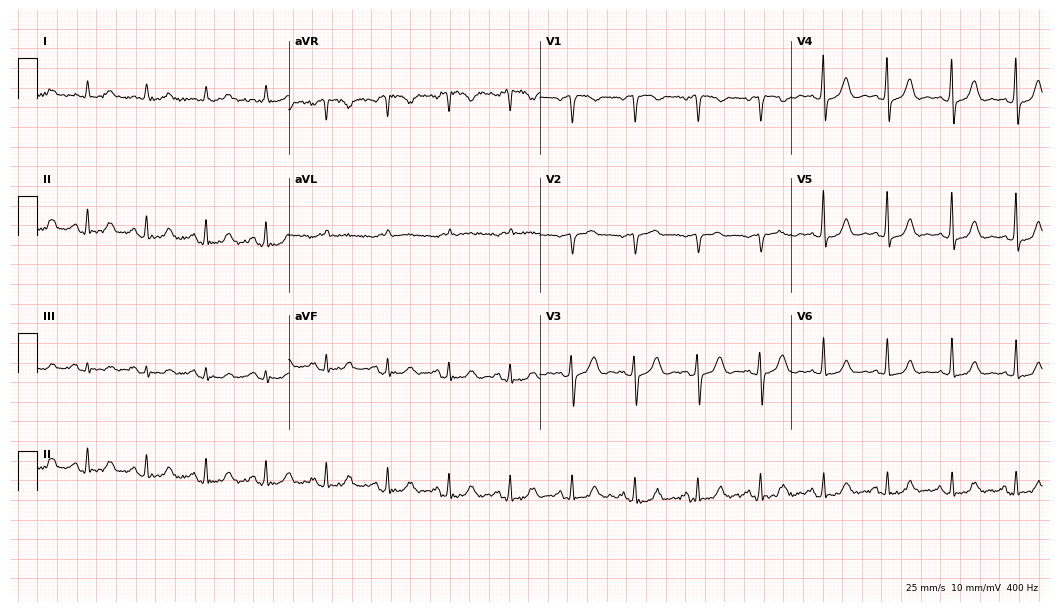
12-lead ECG (10.2-second recording at 400 Hz) from a 70-year-old female. Screened for six findings — first-degree AV block, right bundle branch block, left bundle branch block, sinus bradycardia, atrial fibrillation, sinus tachycardia — none is recorded.